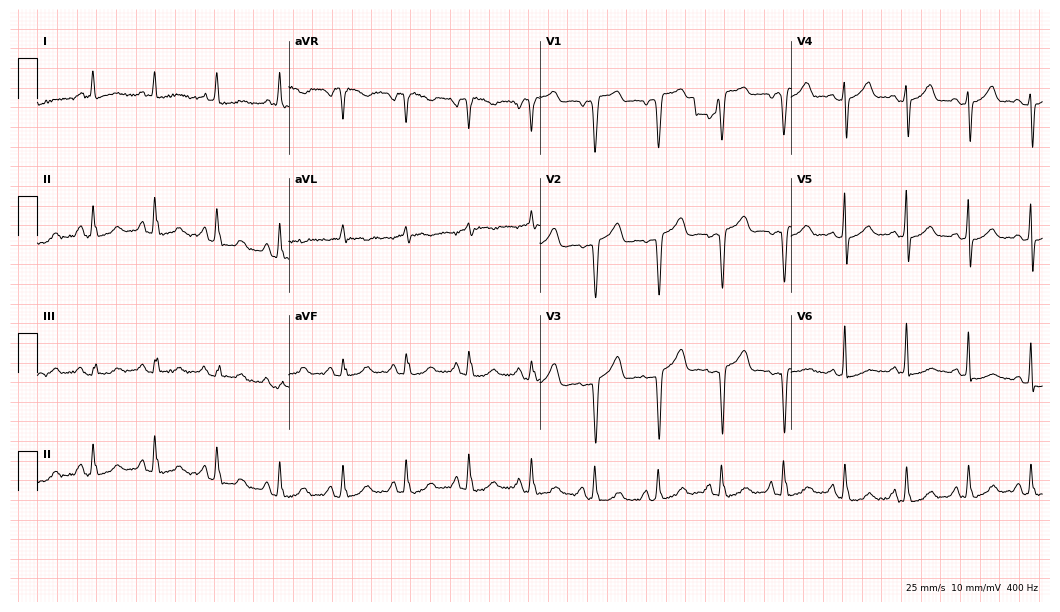
ECG — a 64-year-old female patient. Screened for six findings — first-degree AV block, right bundle branch block (RBBB), left bundle branch block (LBBB), sinus bradycardia, atrial fibrillation (AF), sinus tachycardia — none is recorded. Other findings, if any, are not listed.